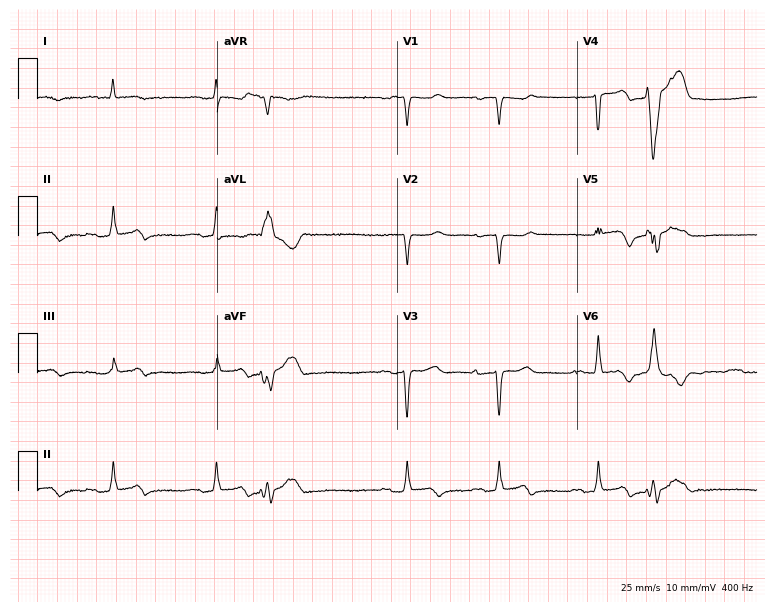
Resting 12-lead electrocardiogram. Patient: an 82-year-old female. None of these six findings is recorded: first-degree AV block, right bundle branch block, left bundle branch block, sinus bradycardia, atrial fibrillation, sinus tachycardia.